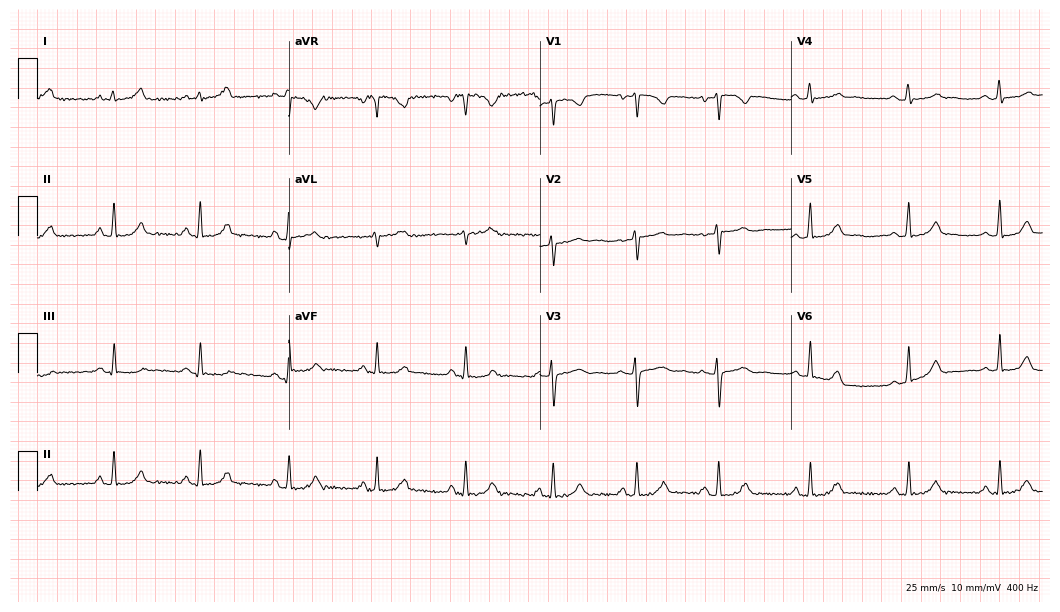
12-lead ECG from a 31-year-old female (10.2-second recording at 400 Hz). Recorded interpretation: within normal limits.